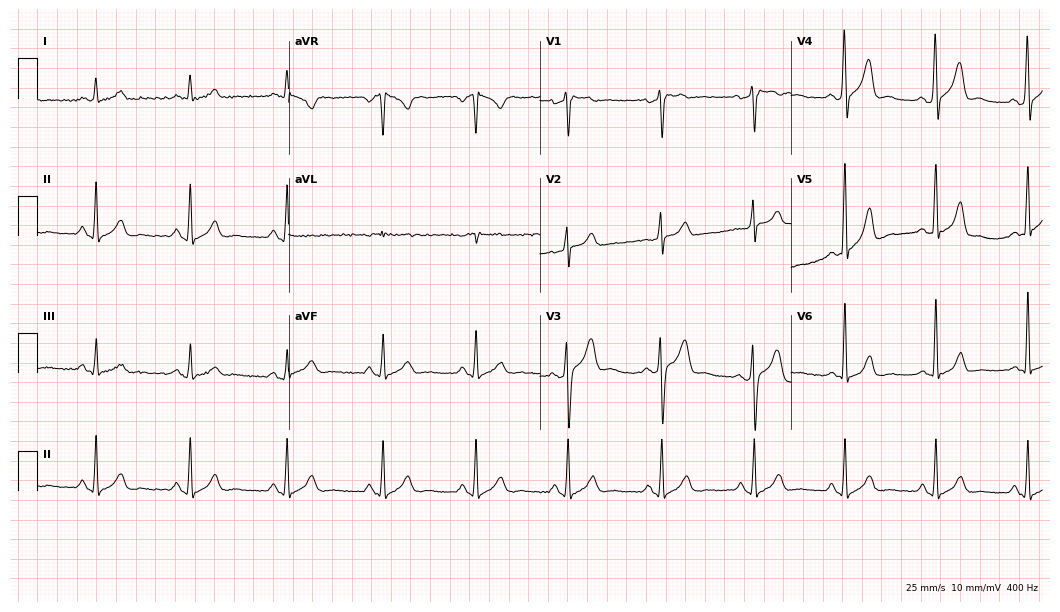
12-lead ECG from a man, 36 years old. Screened for six findings — first-degree AV block, right bundle branch block, left bundle branch block, sinus bradycardia, atrial fibrillation, sinus tachycardia — none is recorded.